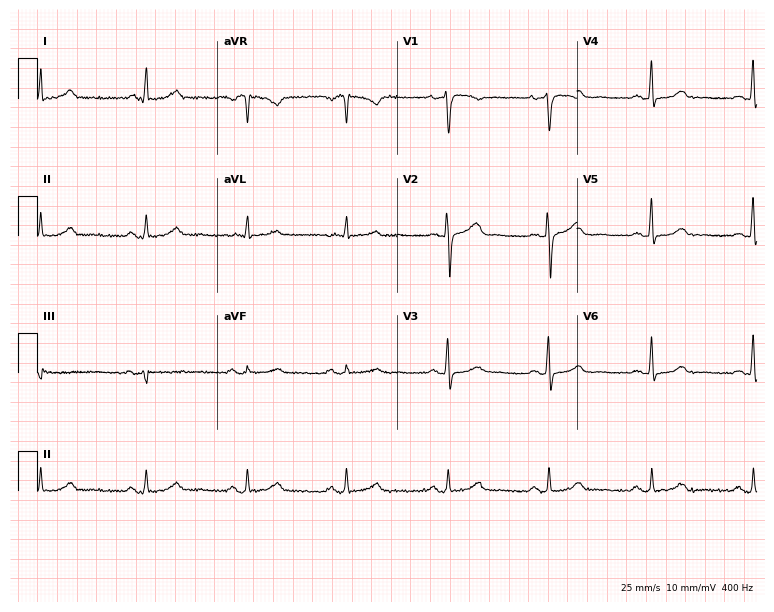
Electrocardiogram (7.3-second recording at 400 Hz), a 58-year-old female patient. Overall reading on record: normal ECG.